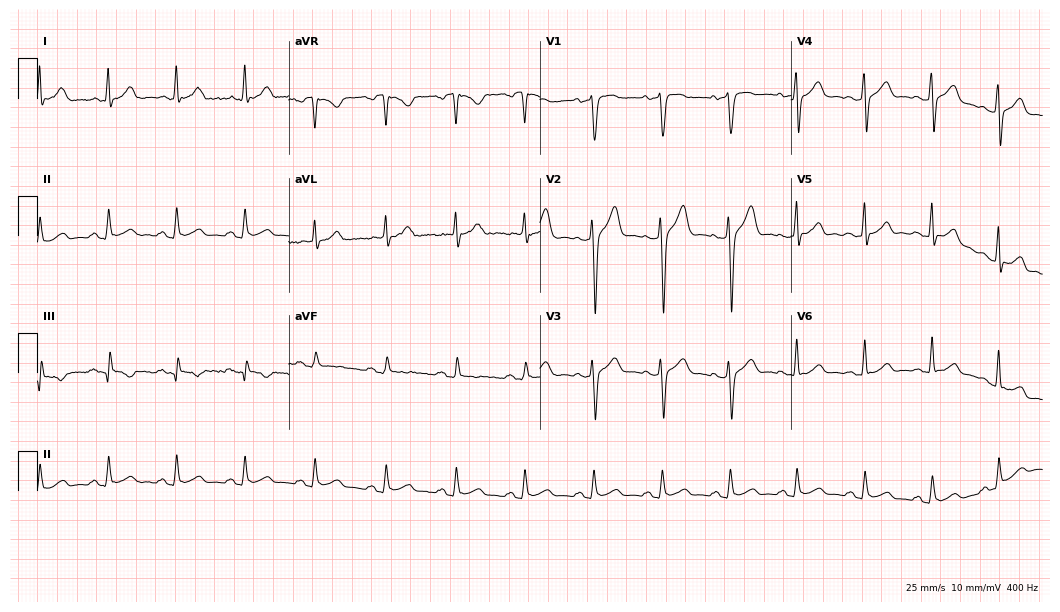
Electrocardiogram (10.2-second recording at 400 Hz), a male, 31 years old. Overall reading on record: normal ECG.